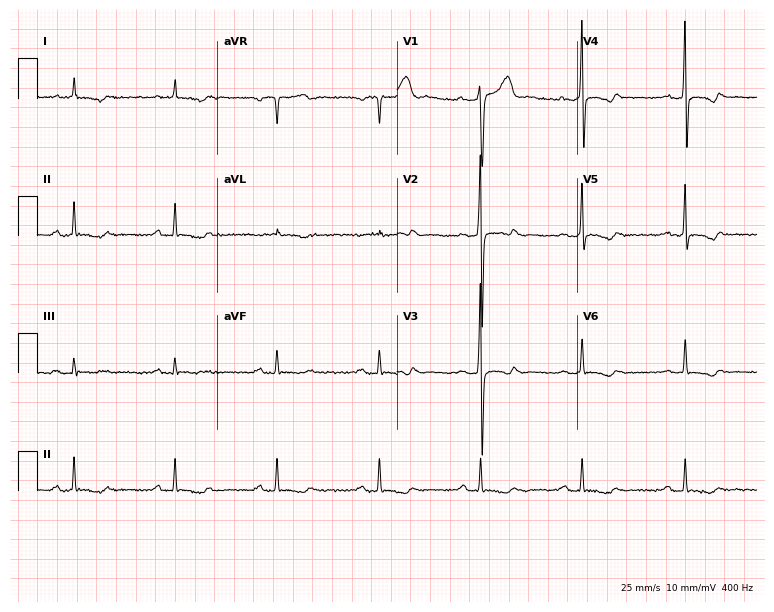
12-lead ECG (7.3-second recording at 400 Hz) from a male patient, 74 years old. Screened for six findings — first-degree AV block, right bundle branch block, left bundle branch block, sinus bradycardia, atrial fibrillation, sinus tachycardia — none is recorded. Only these six findings were labelled.